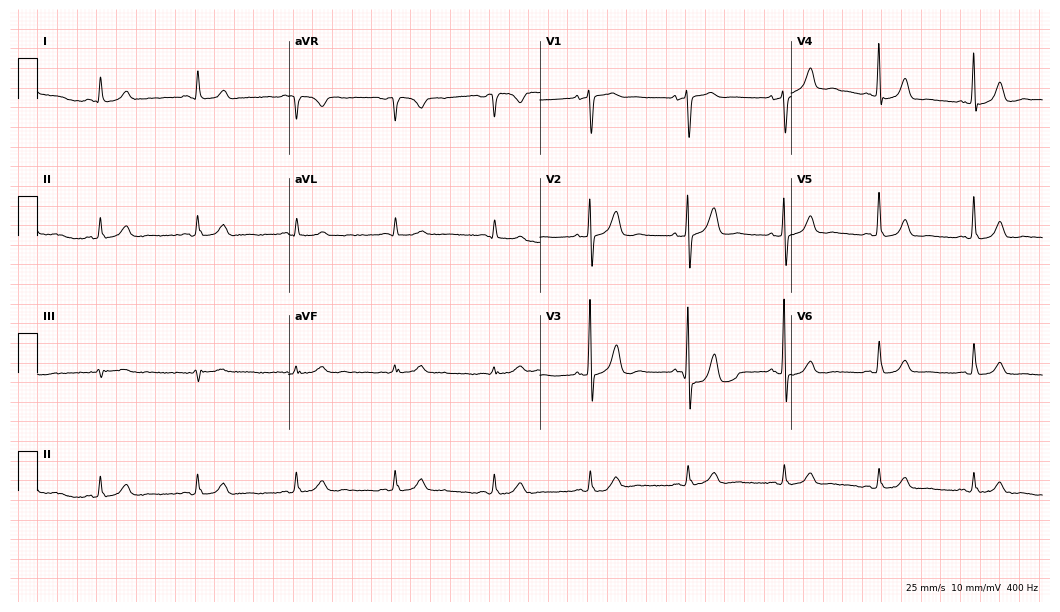
Resting 12-lead electrocardiogram. Patient: a man, 78 years old. Read as a normal ECG.